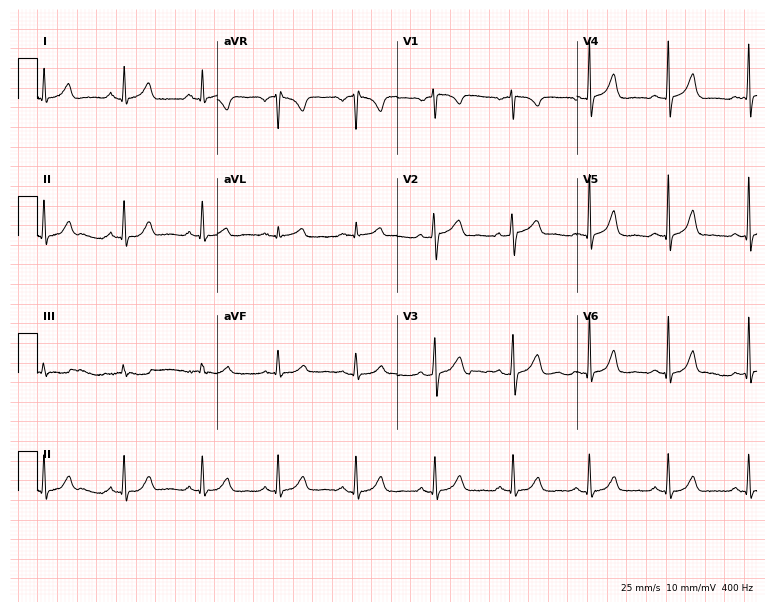
12-lead ECG from a woman, 34 years old. Recorded interpretation: within normal limits.